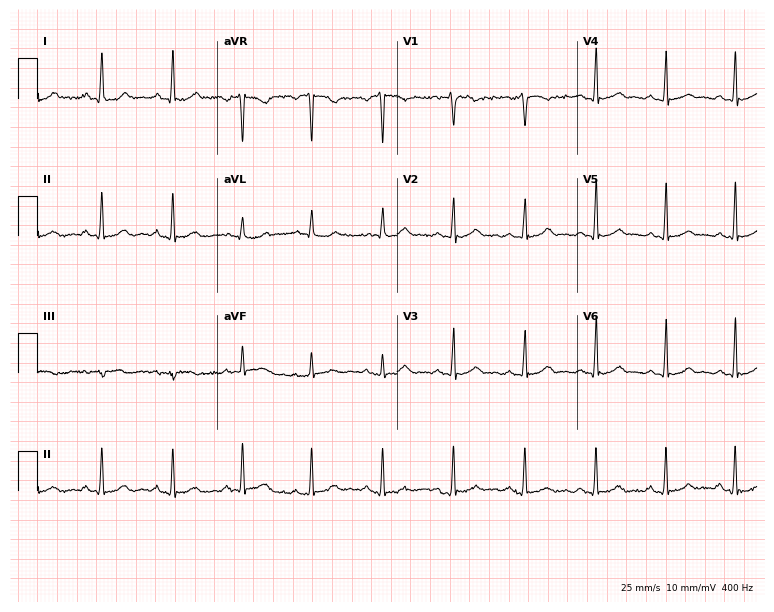
12-lead ECG from a 36-year-old woman (7.3-second recording at 400 Hz). Recorded interpretation: within normal limits.